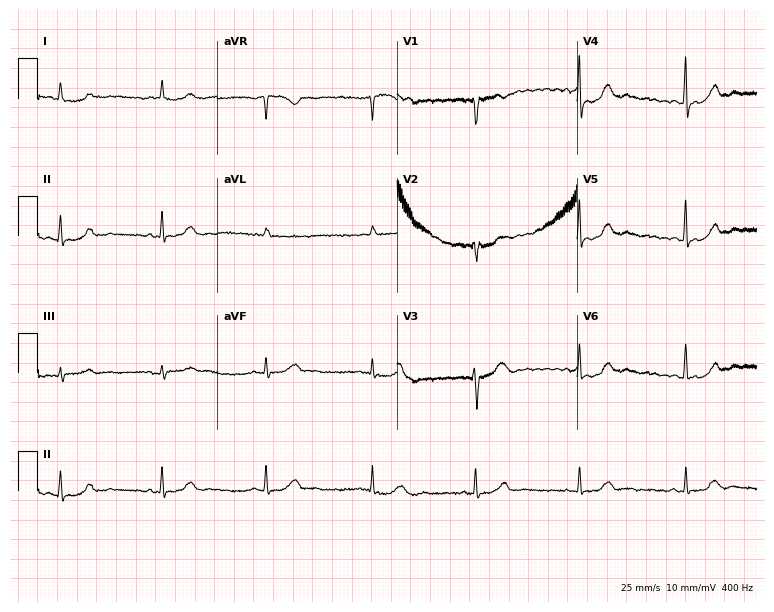
Resting 12-lead electrocardiogram (7.3-second recording at 400 Hz). Patient: a woman, 66 years old. Read as a normal ECG.